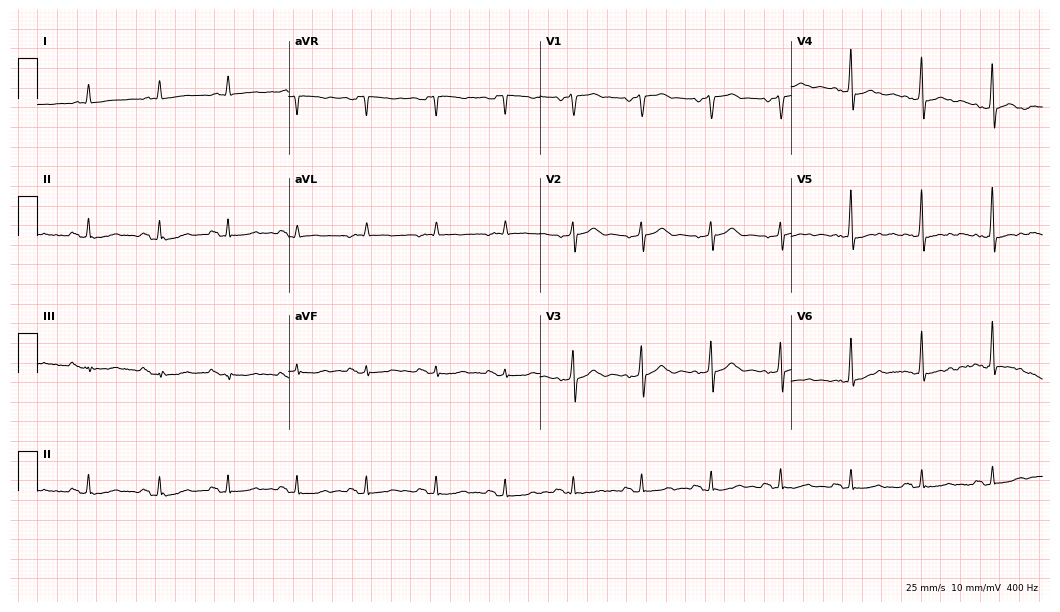
12-lead ECG (10.2-second recording at 400 Hz) from a 67-year-old male. Screened for six findings — first-degree AV block, right bundle branch block, left bundle branch block, sinus bradycardia, atrial fibrillation, sinus tachycardia — none is recorded.